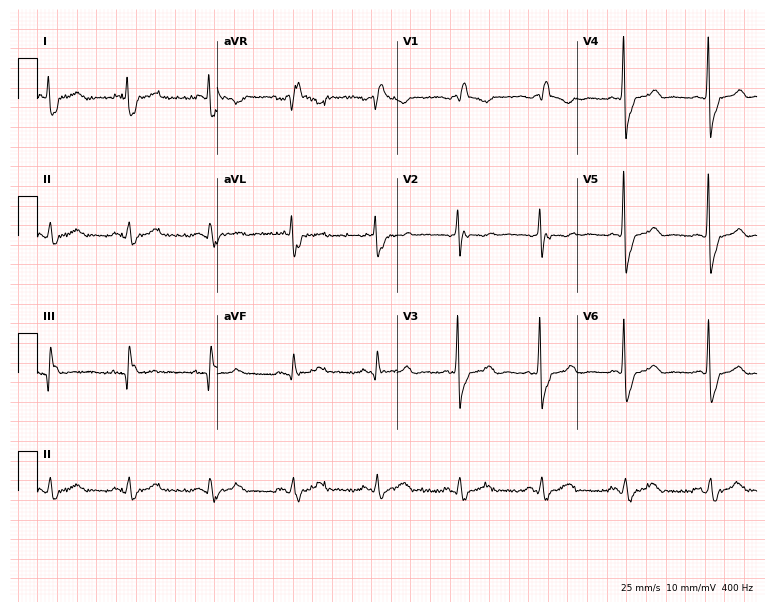
Resting 12-lead electrocardiogram. Patient: a male, 75 years old. The tracing shows right bundle branch block (RBBB).